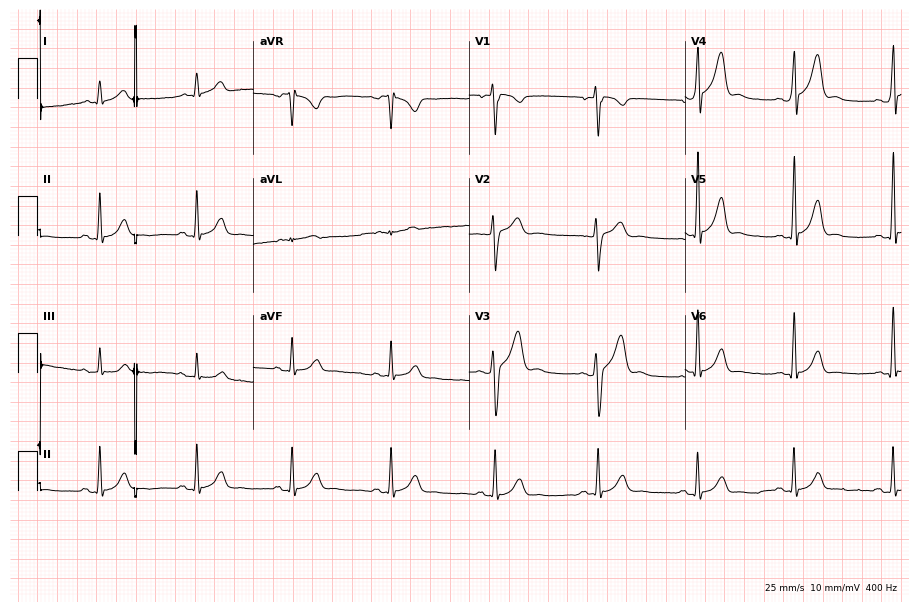
ECG — a 27-year-old man. Labelled as a normal ECG.